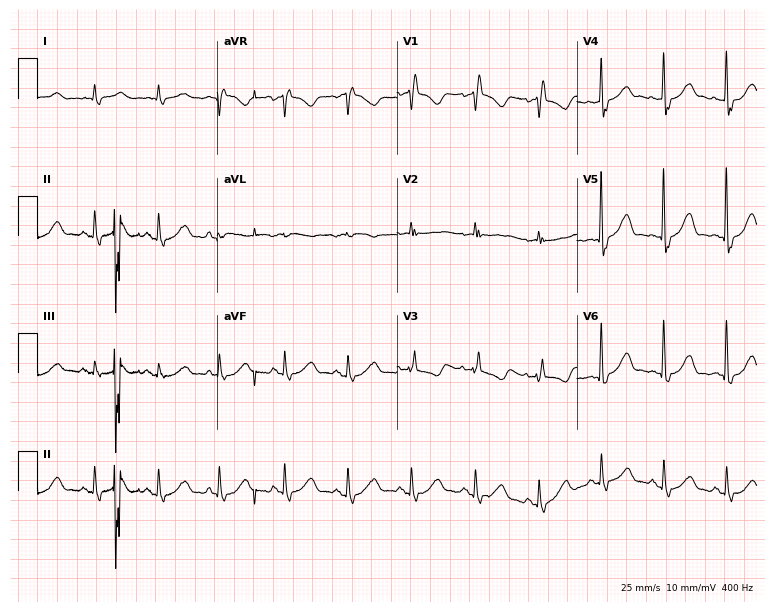
Electrocardiogram, a 77-year-old female. Of the six screened findings (first-degree AV block, right bundle branch block, left bundle branch block, sinus bradycardia, atrial fibrillation, sinus tachycardia), none is recorded. Other findings, if any, are not listed.